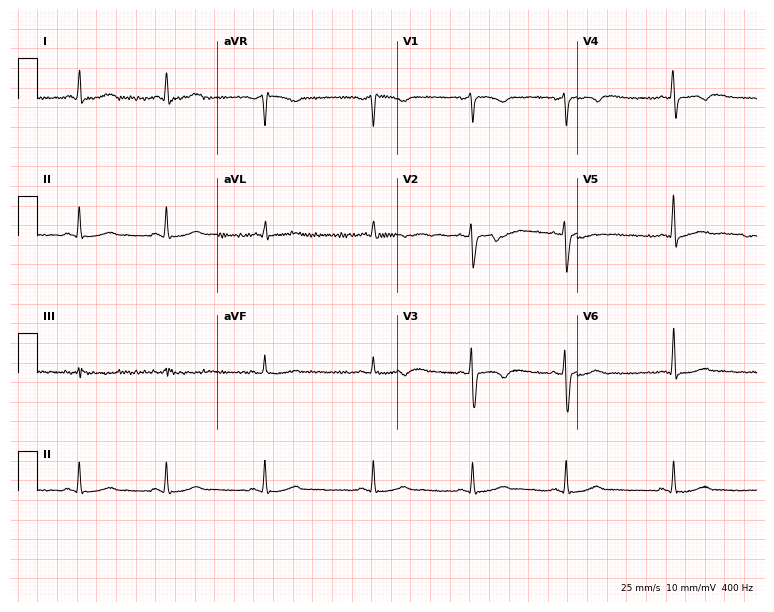
12-lead ECG from a female, 31 years old. Screened for six findings — first-degree AV block, right bundle branch block, left bundle branch block, sinus bradycardia, atrial fibrillation, sinus tachycardia — none is recorded. Only these six findings were labelled.